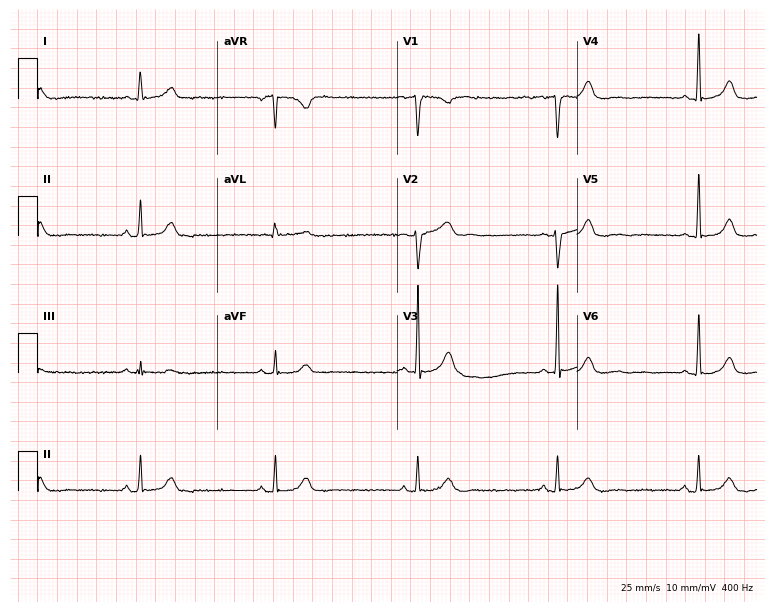
ECG — a female patient, 68 years old. Screened for six findings — first-degree AV block, right bundle branch block, left bundle branch block, sinus bradycardia, atrial fibrillation, sinus tachycardia — none is recorded.